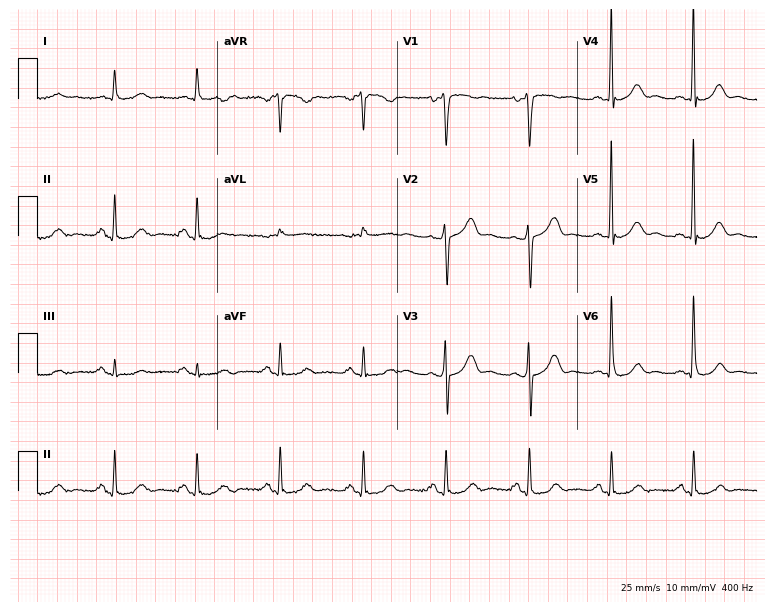
Resting 12-lead electrocardiogram (7.3-second recording at 400 Hz). Patient: a male, 78 years old. None of these six findings is recorded: first-degree AV block, right bundle branch block, left bundle branch block, sinus bradycardia, atrial fibrillation, sinus tachycardia.